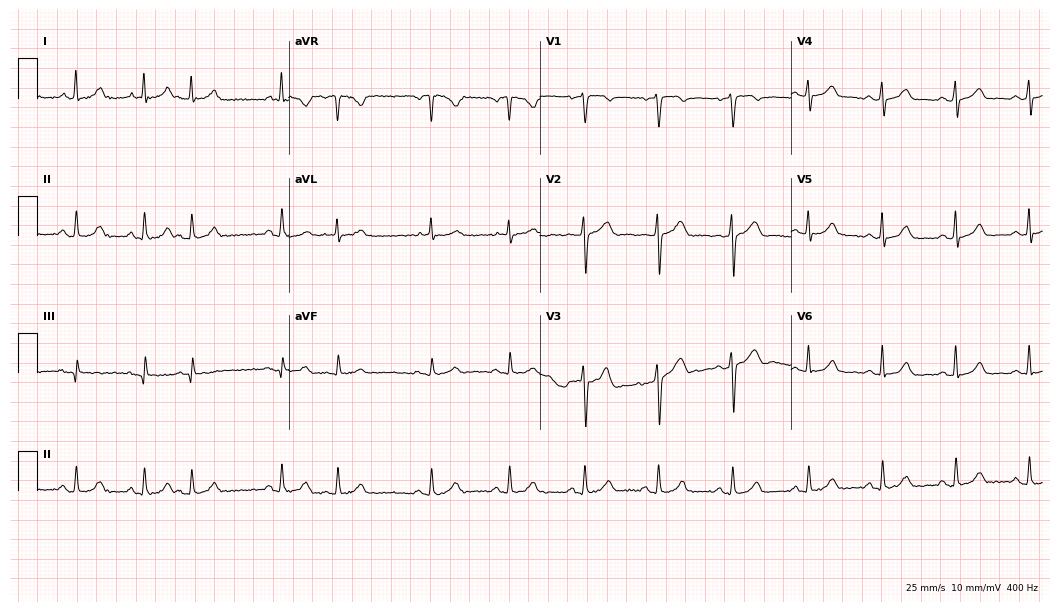
ECG — a woman, 57 years old. Screened for six findings — first-degree AV block, right bundle branch block (RBBB), left bundle branch block (LBBB), sinus bradycardia, atrial fibrillation (AF), sinus tachycardia — none is recorded. Findings outside these six are not listed.